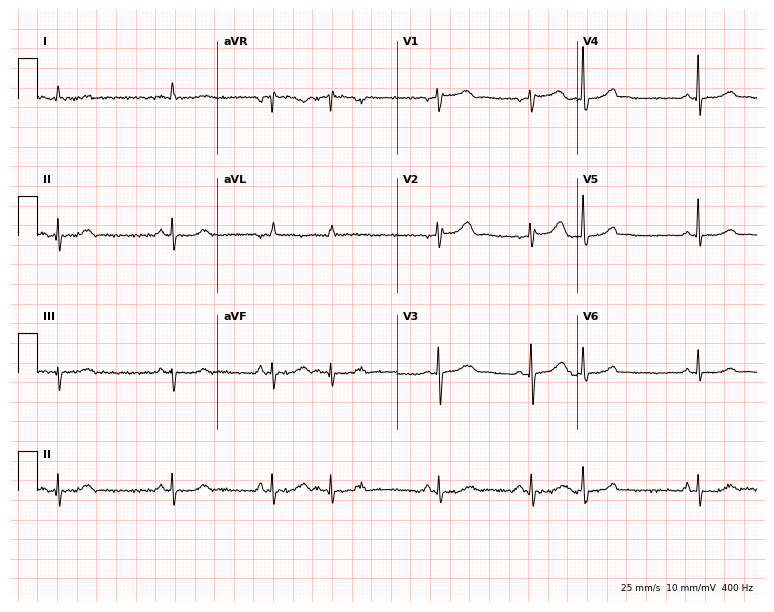
Electrocardiogram, a woman, 71 years old. Of the six screened findings (first-degree AV block, right bundle branch block (RBBB), left bundle branch block (LBBB), sinus bradycardia, atrial fibrillation (AF), sinus tachycardia), none is recorded.